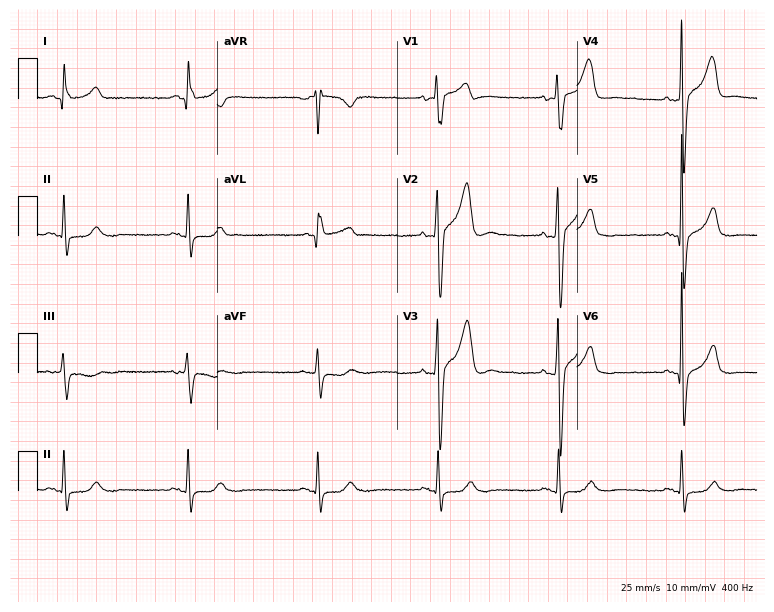
Electrocardiogram (7.3-second recording at 400 Hz), a 51-year-old man. Of the six screened findings (first-degree AV block, right bundle branch block (RBBB), left bundle branch block (LBBB), sinus bradycardia, atrial fibrillation (AF), sinus tachycardia), none is recorded.